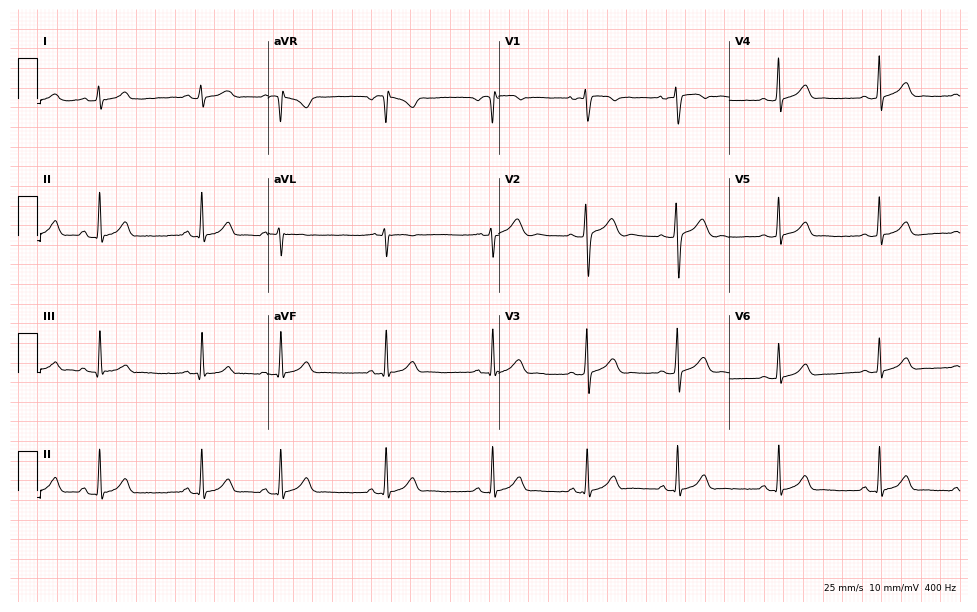
Standard 12-lead ECG recorded from a female patient, 21 years old. Read as a normal ECG.